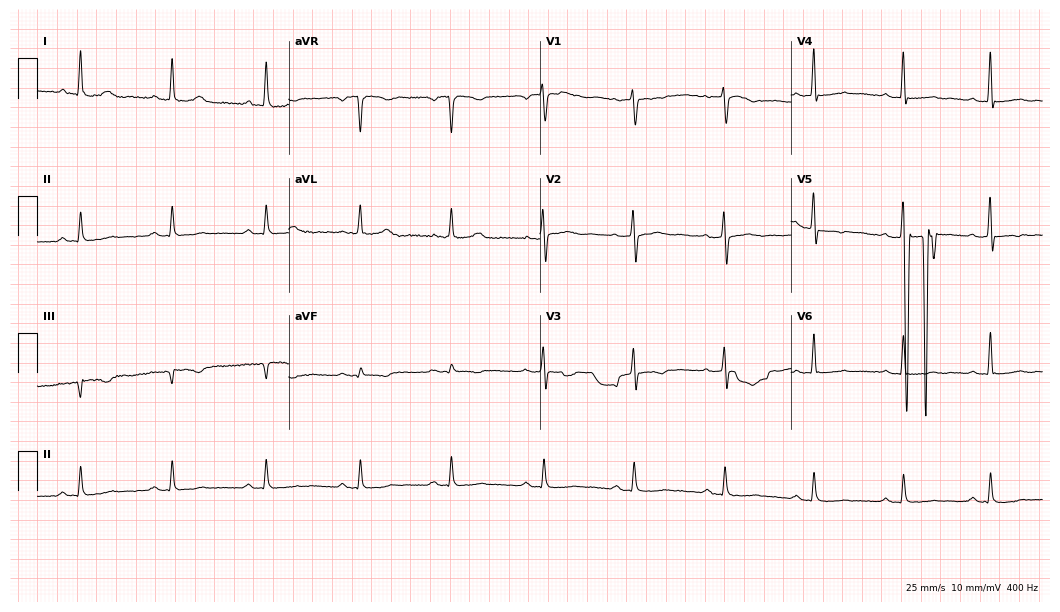
12-lead ECG from a 51-year-old female. No first-degree AV block, right bundle branch block, left bundle branch block, sinus bradycardia, atrial fibrillation or sinus tachycardia recorded for this tracing.